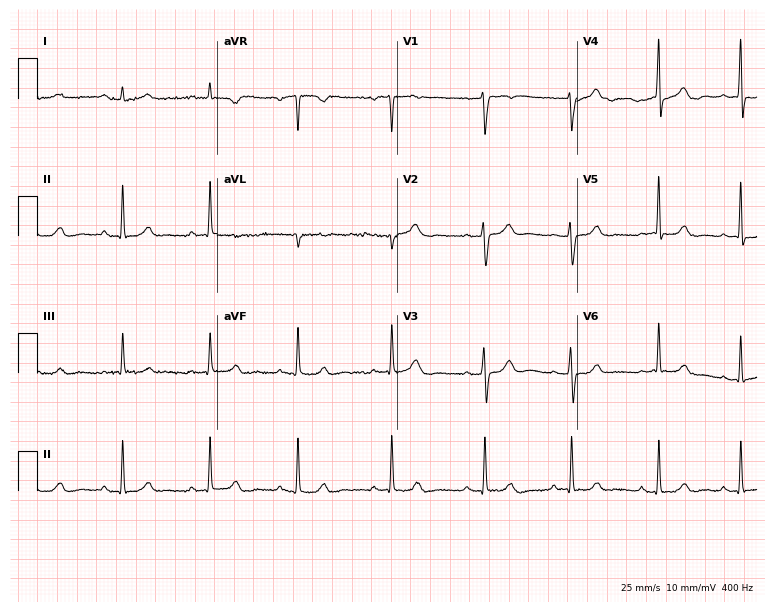
Resting 12-lead electrocardiogram. Patient: a female, 47 years old. Read as a normal ECG.